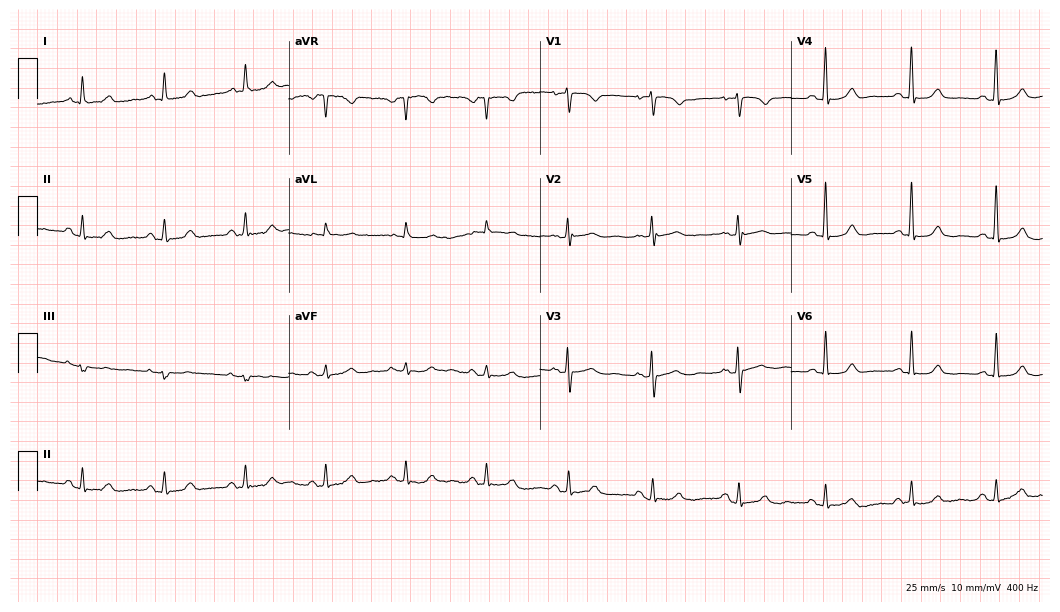
12-lead ECG (10.2-second recording at 400 Hz) from a female patient, 61 years old. Labelled as a normal ECG.